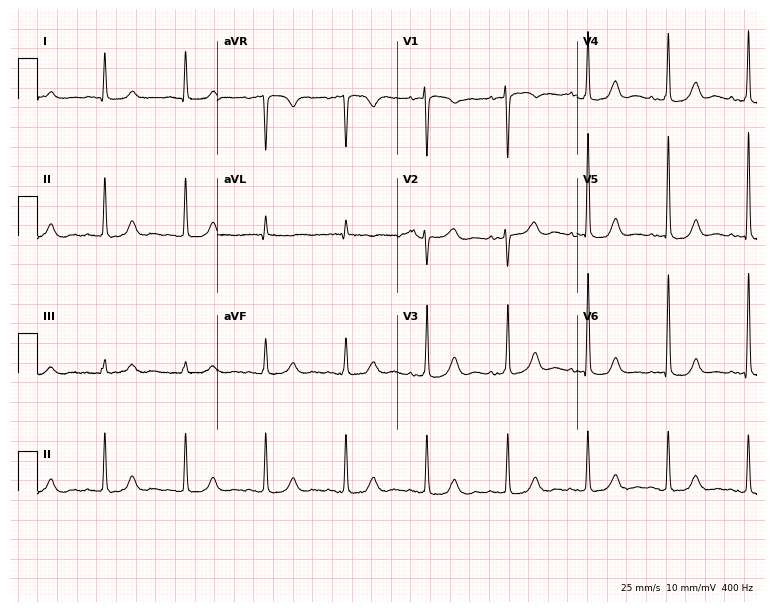
12-lead ECG from a female, 82 years old. Screened for six findings — first-degree AV block, right bundle branch block, left bundle branch block, sinus bradycardia, atrial fibrillation, sinus tachycardia — none is recorded. Findings outside these six are not listed.